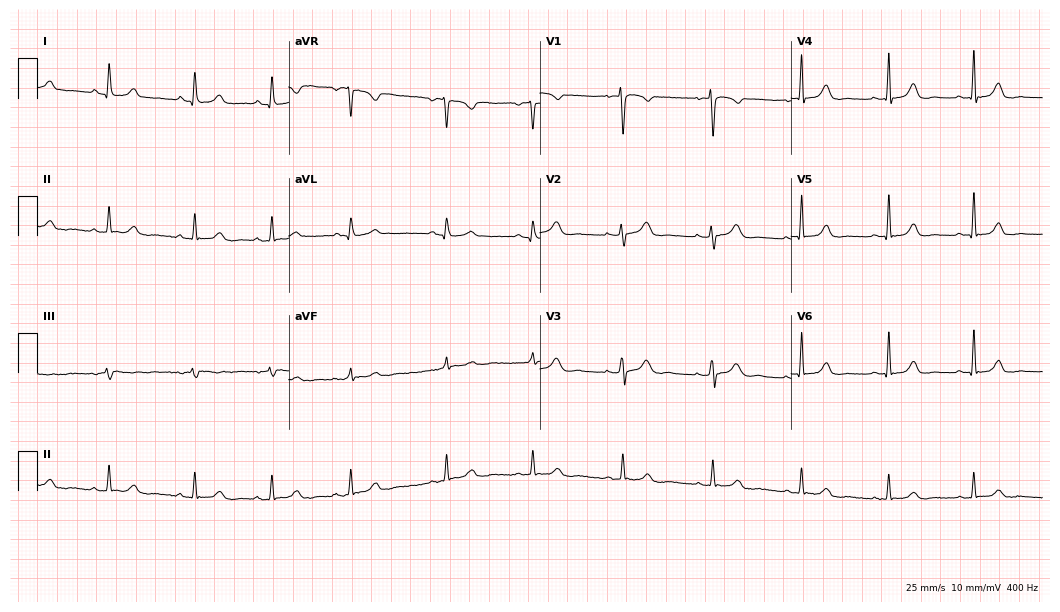
12-lead ECG from a female, 31 years old (10.2-second recording at 400 Hz). No first-degree AV block, right bundle branch block, left bundle branch block, sinus bradycardia, atrial fibrillation or sinus tachycardia recorded for this tracing. Findings outside these six are not listed.